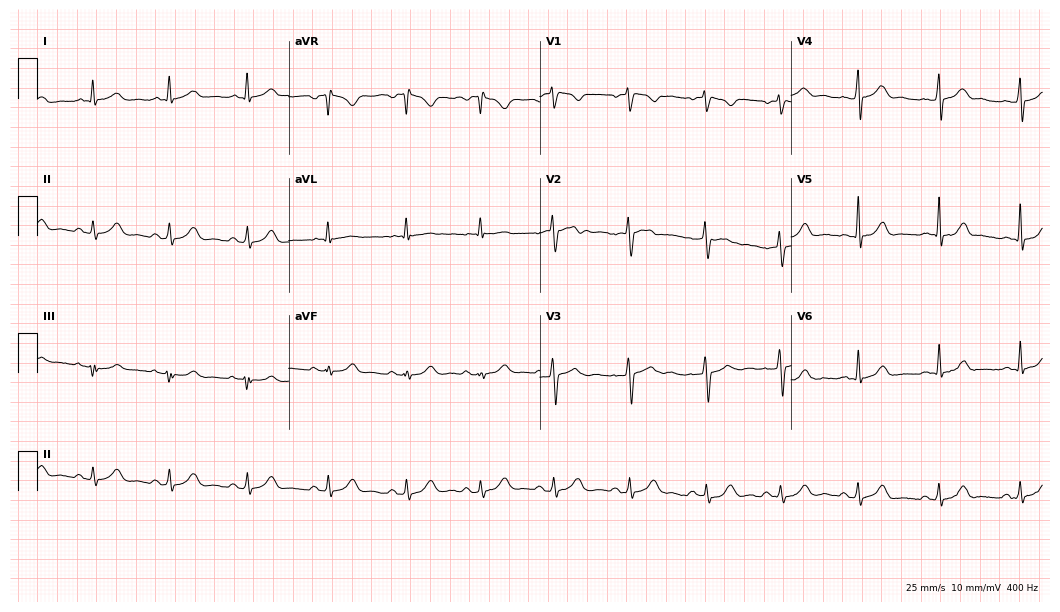
Resting 12-lead electrocardiogram. Patient: a woman, 36 years old. None of these six findings is recorded: first-degree AV block, right bundle branch block (RBBB), left bundle branch block (LBBB), sinus bradycardia, atrial fibrillation (AF), sinus tachycardia. Only these six findings were labelled.